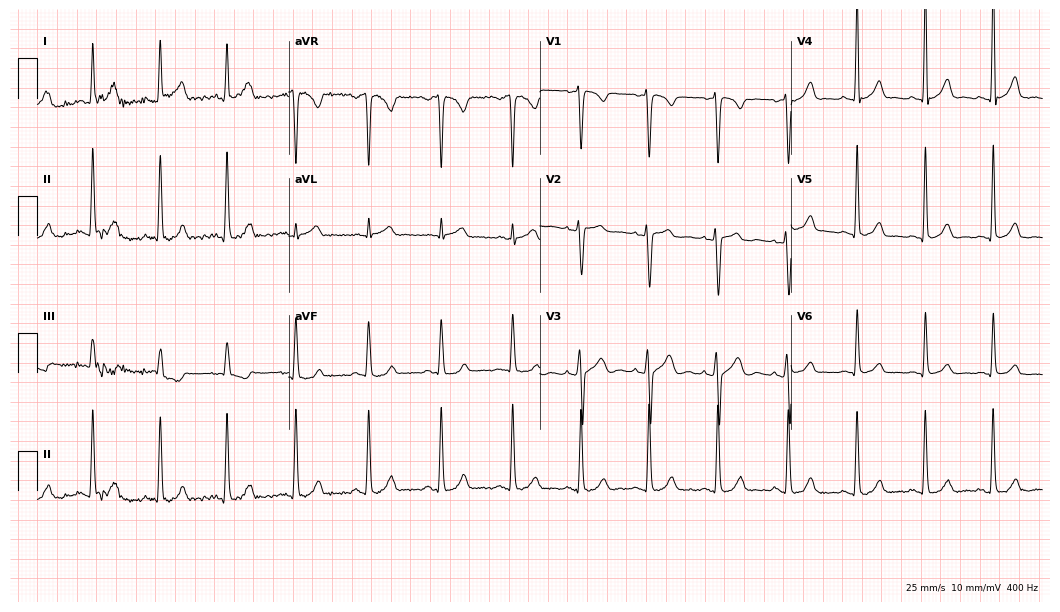
Electrocardiogram (10.2-second recording at 400 Hz), a 33-year-old woman. Overall reading on record: normal ECG.